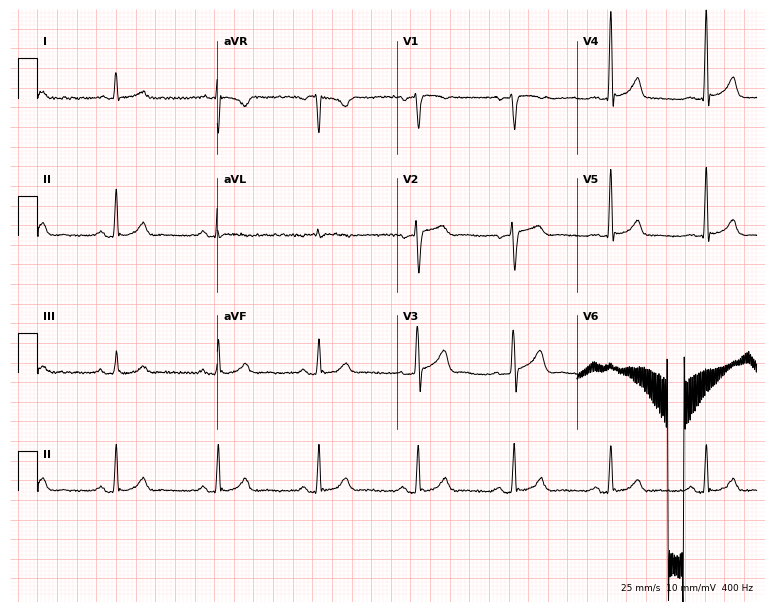
ECG (7.3-second recording at 400 Hz) — a male patient, 49 years old. Labelled as a normal ECG.